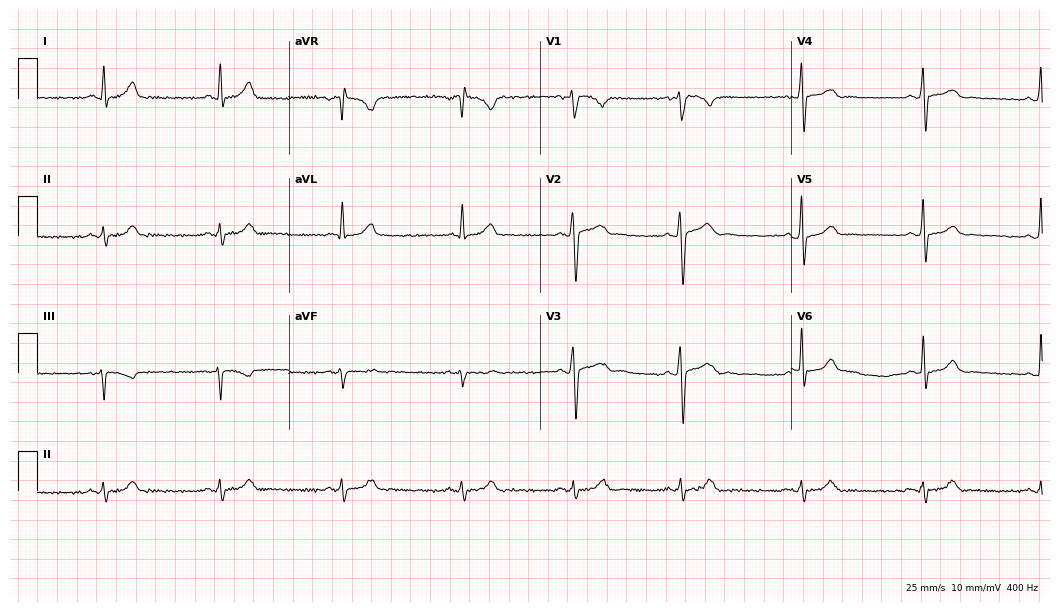
Standard 12-lead ECG recorded from a 54-year-old man. None of these six findings is recorded: first-degree AV block, right bundle branch block, left bundle branch block, sinus bradycardia, atrial fibrillation, sinus tachycardia. Other findings, if any, are not listed.